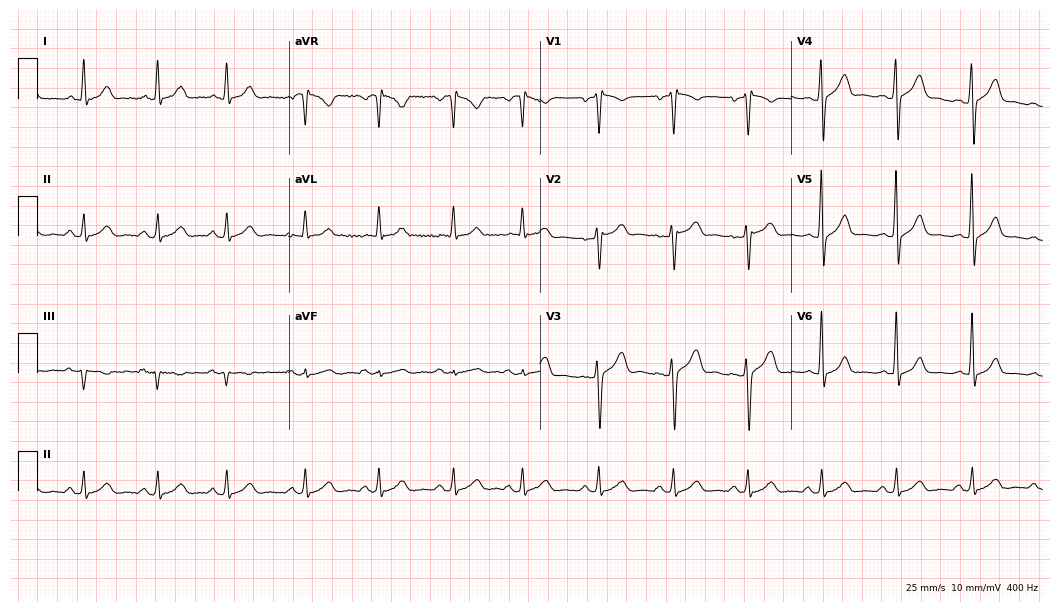
12-lead ECG (10.2-second recording at 400 Hz) from a 48-year-old man. Screened for six findings — first-degree AV block, right bundle branch block, left bundle branch block, sinus bradycardia, atrial fibrillation, sinus tachycardia — none is recorded.